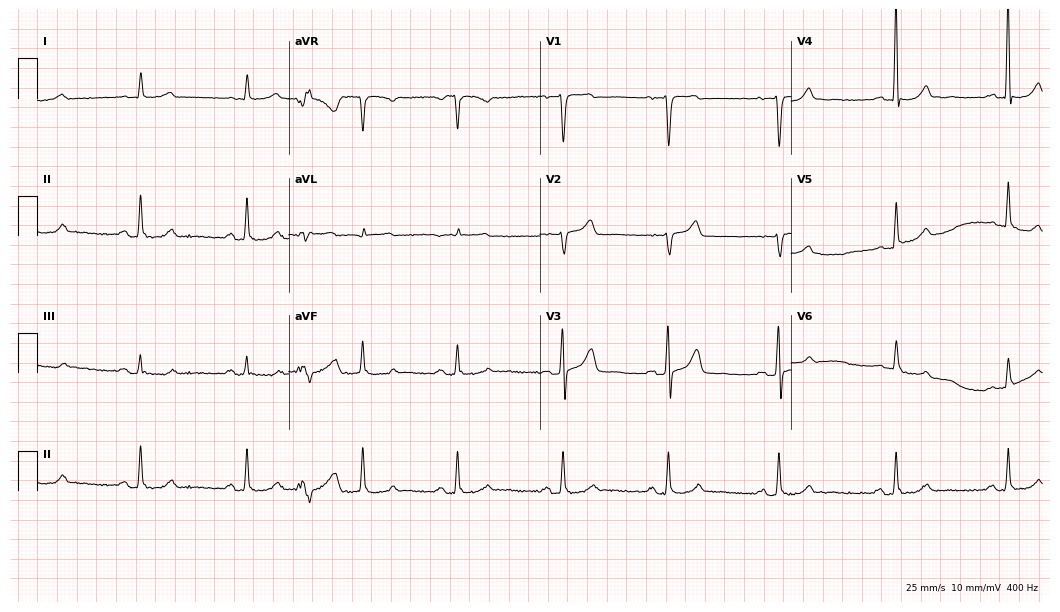
ECG — a 79-year-old woman. Screened for six findings — first-degree AV block, right bundle branch block (RBBB), left bundle branch block (LBBB), sinus bradycardia, atrial fibrillation (AF), sinus tachycardia — none is recorded. Other findings, if any, are not listed.